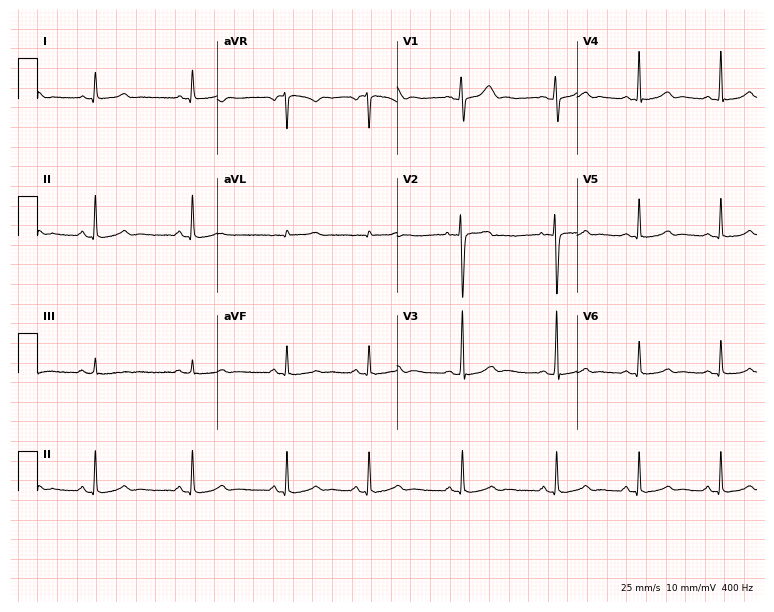
Resting 12-lead electrocardiogram (7.3-second recording at 400 Hz). Patient: a female, 25 years old. Read as a normal ECG.